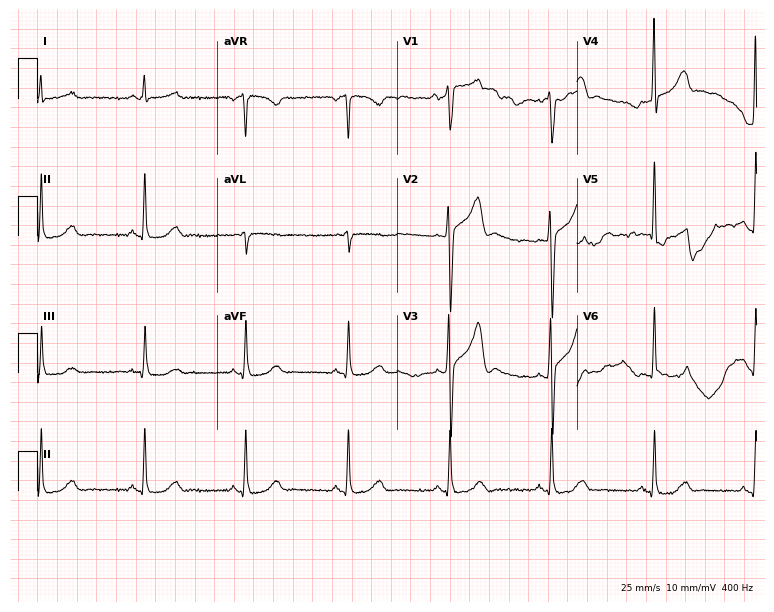
Electrocardiogram (7.3-second recording at 400 Hz), a 66-year-old male patient. Of the six screened findings (first-degree AV block, right bundle branch block, left bundle branch block, sinus bradycardia, atrial fibrillation, sinus tachycardia), none is recorded. Only these six findings were labelled.